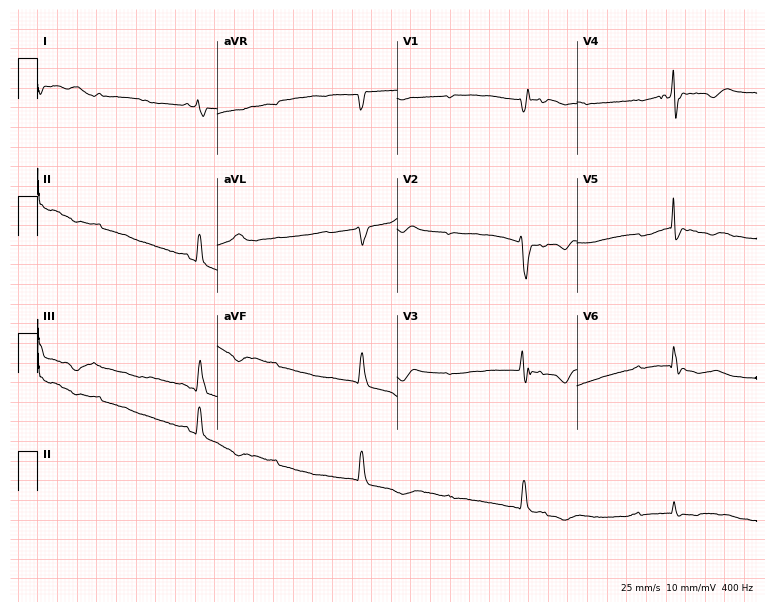
Resting 12-lead electrocardiogram. Patient: a female, 79 years old. The tracing shows right bundle branch block (RBBB).